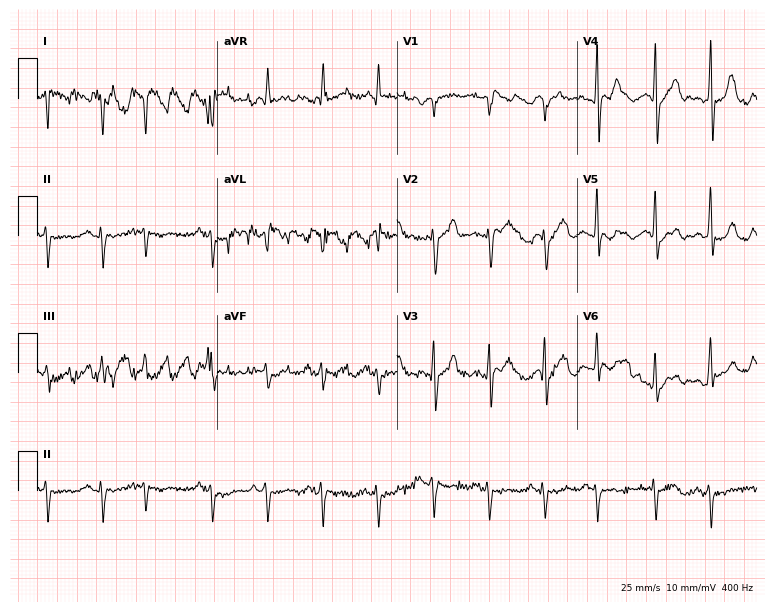
12-lead ECG from an 85-year-old man (7.3-second recording at 400 Hz). No first-degree AV block, right bundle branch block, left bundle branch block, sinus bradycardia, atrial fibrillation or sinus tachycardia recorded for this tracing. Findings outside these six are not listed.